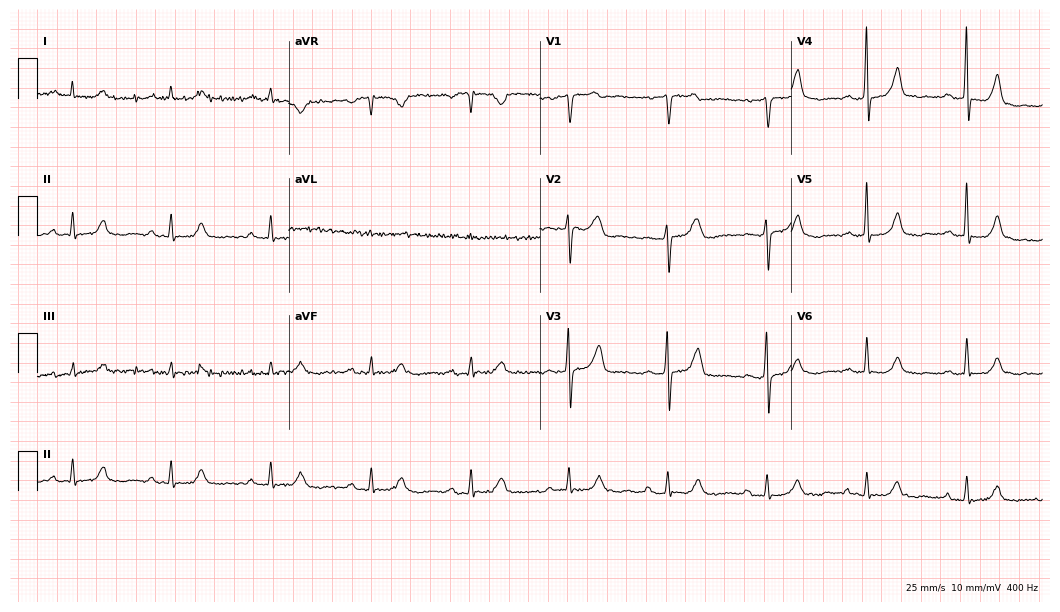
12-lead ECG from a male patient, 79 years old. No first-degree AV block, right bundle branch block, left bundle branch block, sinus bradycardia, atrial fibrillation or sinus tachycardia recorded for this tracing. Findings outside these six are not listed.